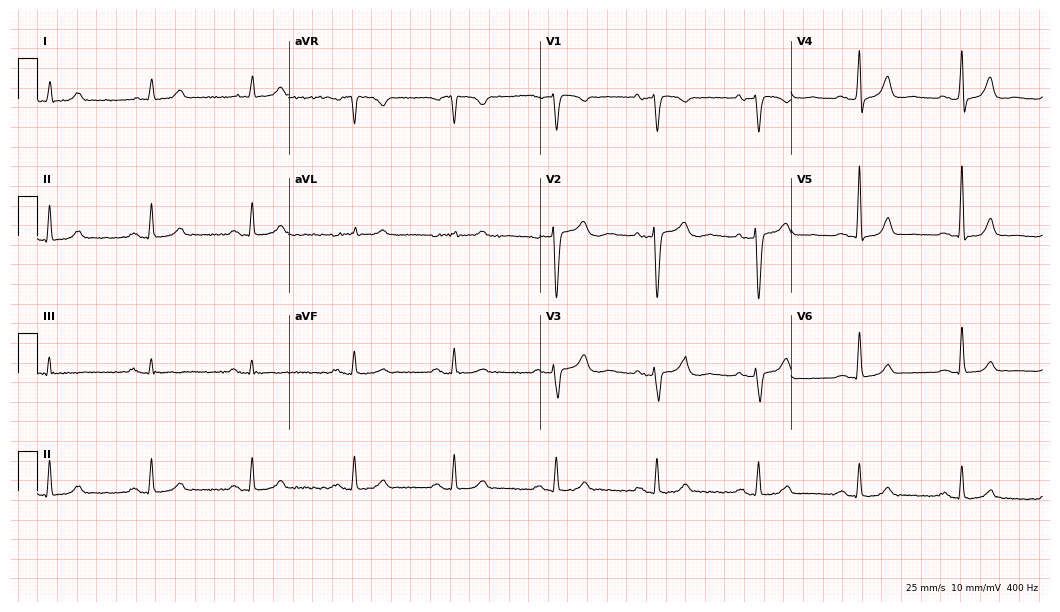
Standard 12-lead ECG recorded from a 75-year-old female (10.2-second recording at 400 Hz). None of these six findings is recorded: first-degree AV block, right bundle branch block (RBBB), left bundle branch block (LBBB), sinus bradycardia, atrial fibrillation (AF), sinus tachycardia.